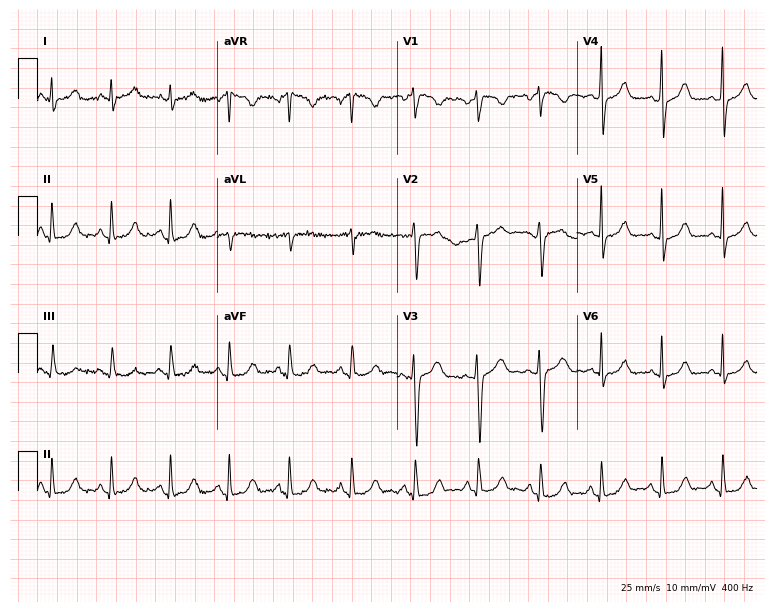
Standard 12-lead ECG recorded from a female patient, 22 years old. Read as a normal ECG.